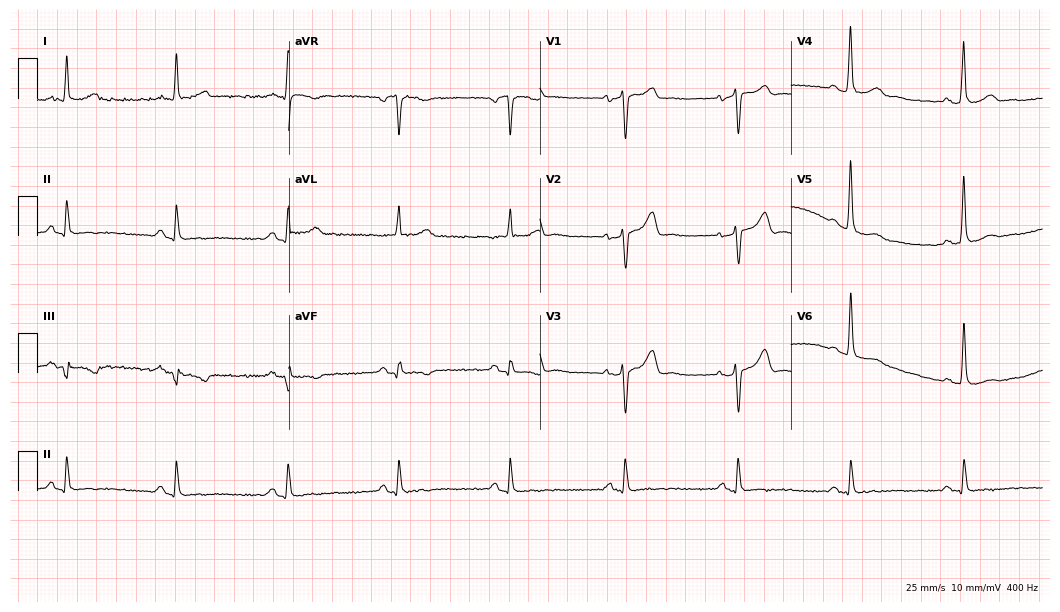
12-lead ECG from a male, 71 years old. Screened for six findings — first-degree AV block, right bundle branch block (RBBB), left bundle branch block (LBBB), sinus bradycardia, atrial fibrillation (AF), sinus tachycardia — none is recorded. Other findings, if any, are not listed.